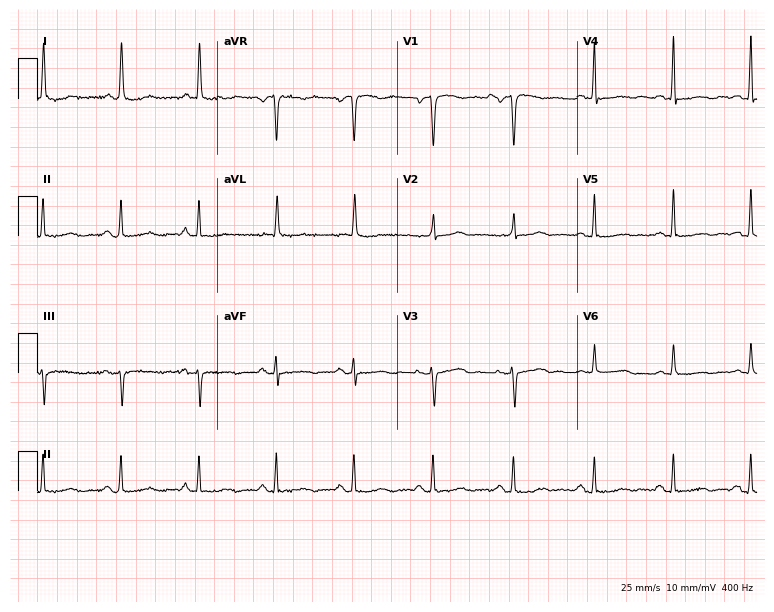
12-lead ECG from a female, 66 years old. Screened for six findings — first-degree AV block, right bundle branch block, left bundle branch block, sinus bradycardia, atrial fibrillation, sinus tachycardia — none is recorded.